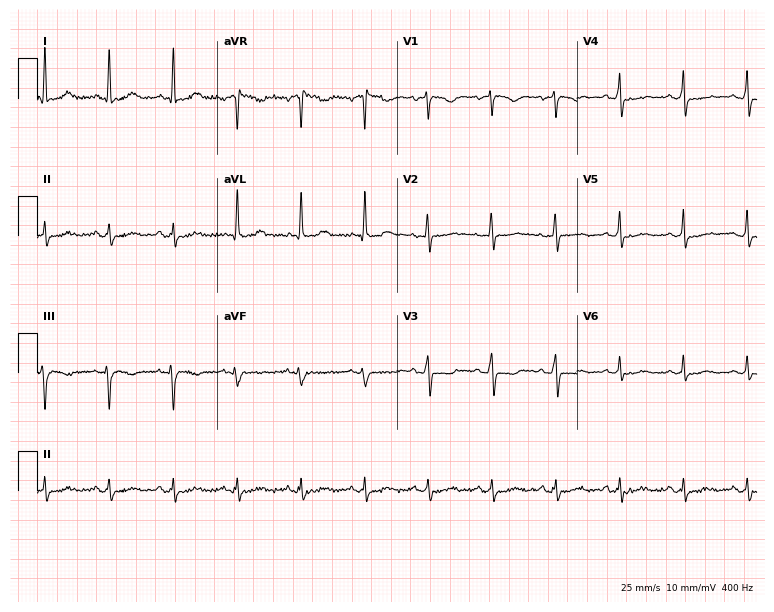
ECG — a woman, 56 years old. Screened for six findings — first-degree AV block, right bundle branch block (RBBB), left bundle branch block (LBBB), sinus bradycardia, atrial fibrillation (AF), sinus tachycardia — none is recorded. Findings outside these six are not listed.